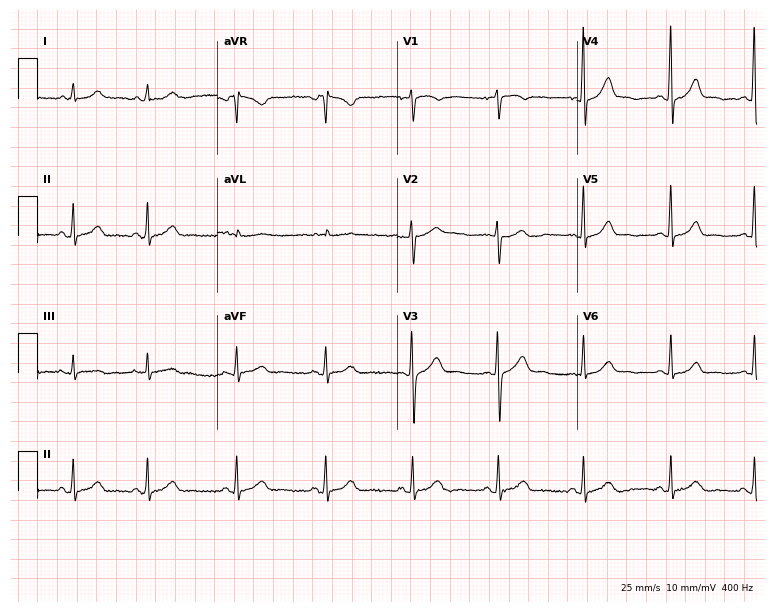
Electrocardiogram, a 20-year-old female. Of the six screened findings (first-degree AV block, right bundle branch block, left bundle branch block, sinus bradycardia, atrial fibrillation, sinus tachycardia), none is recorded. Findings outside these six are not listed.